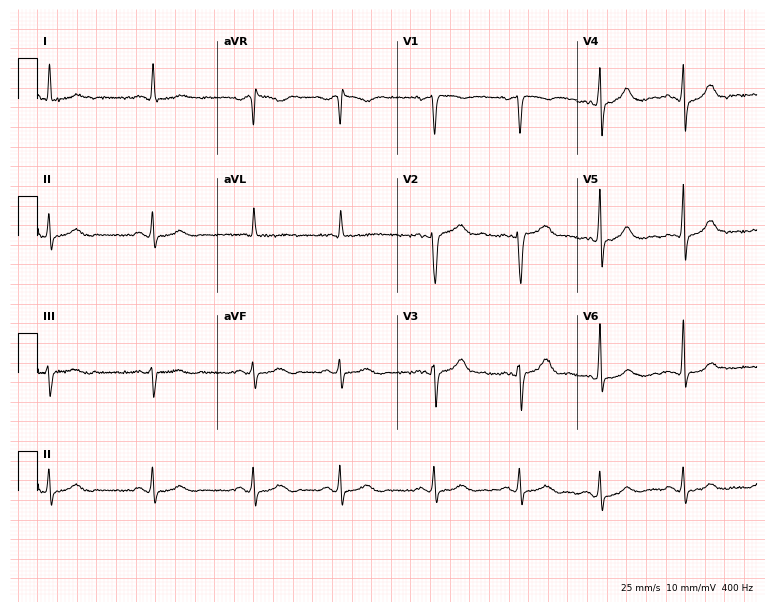
Standard 12-lead ECG recorded from a 42-year-old male patient. None of these six findings is recorded: first-degree AV block, right bundle branch block, left bundle branch block, sinus bradycardia, atrial fibrillation, sinus tachycardia. Only these six findings were labelled.